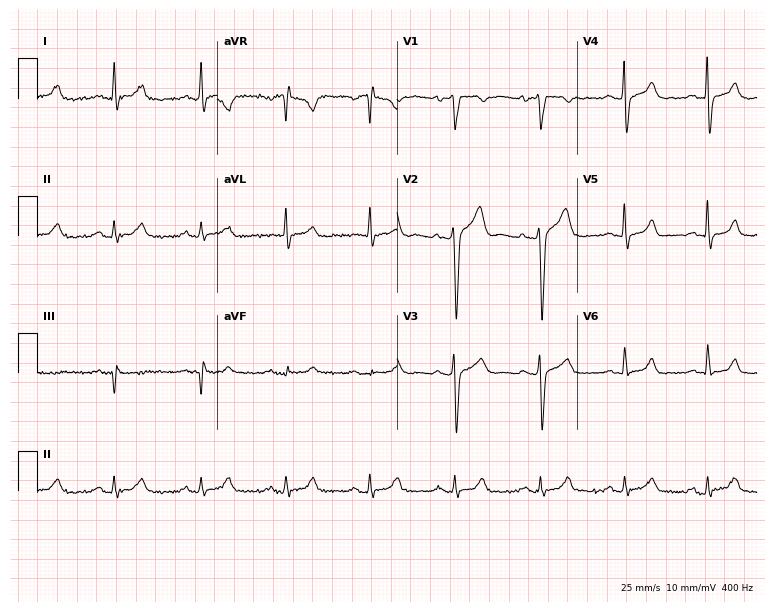
Standard 12-lead ECG recorded from a 30-year-old male (7.3-second recording at 400 Hz). Read as a normal ECG.